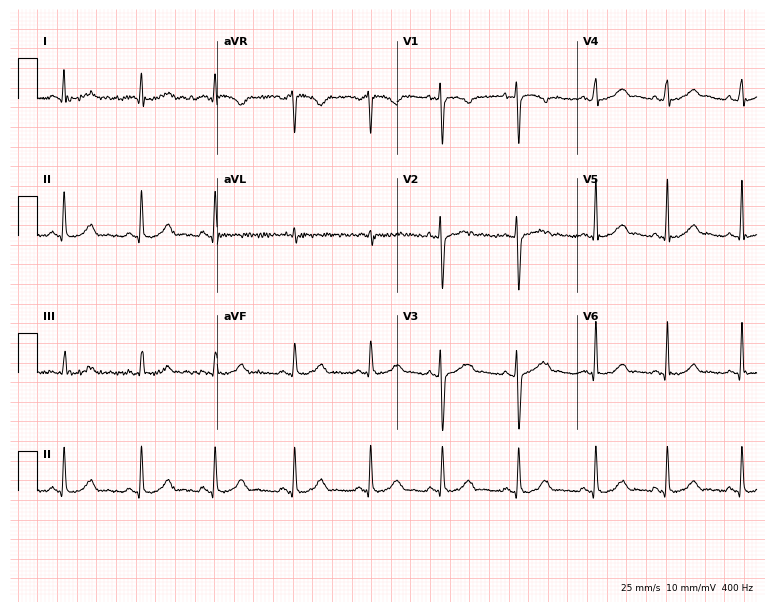
12-lead ECG from a 25-year-old female patient. Screened for six findings — first-degree AV block, right bundle branch block, left bundle branch block, sinus bradycardia, atrial fibrillation, sinus tachycardia — none is recorded.